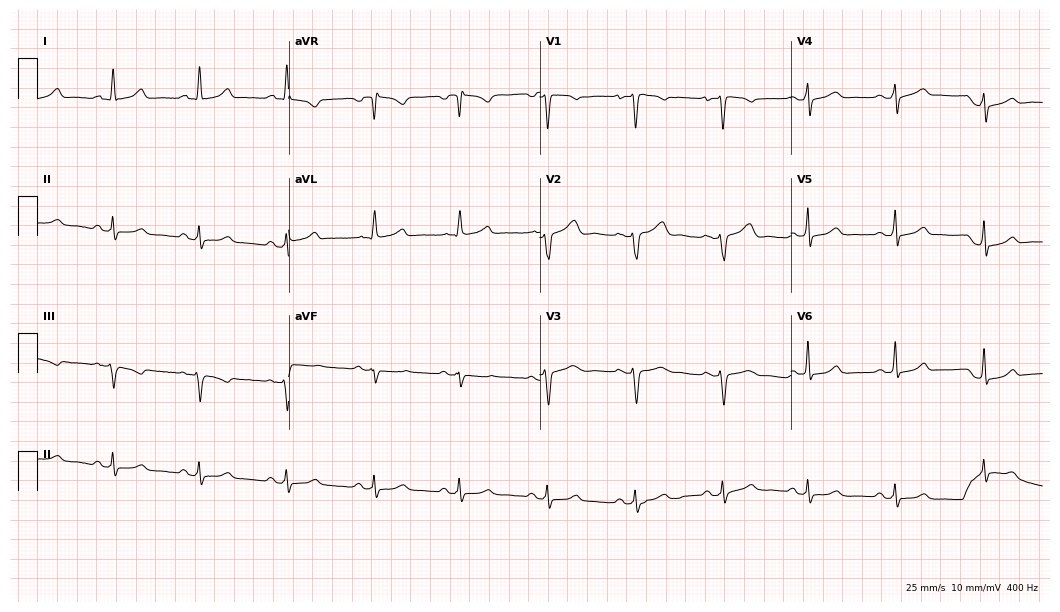
Resting 12-lead electrocardiogram. Patient: a 36-year-old female. Read as a normal ECG.